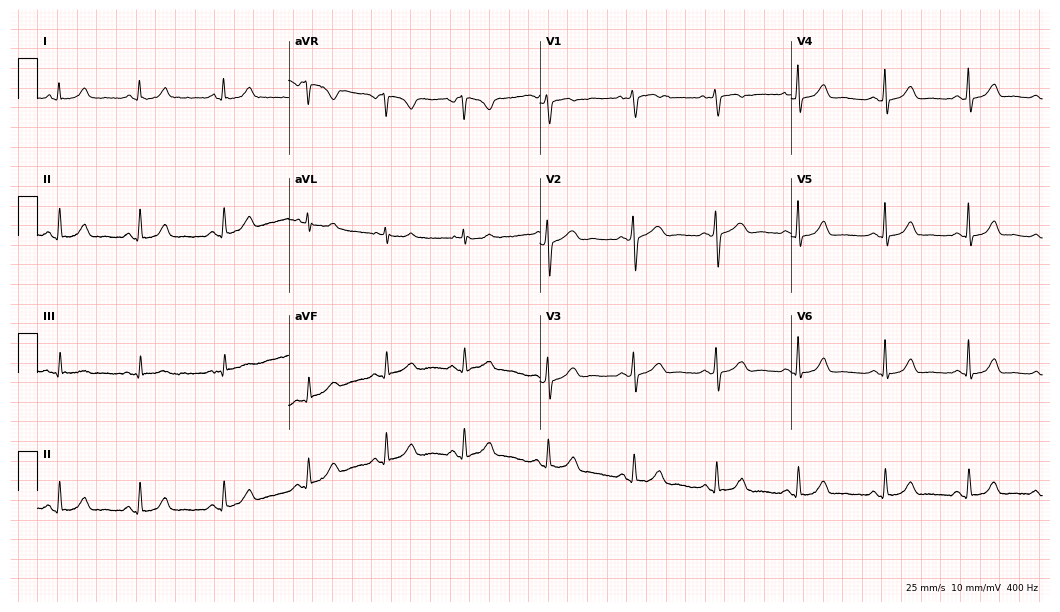
Standard 12-lead ECG recorded from a 36-year-old female. Read as a normal ECG.